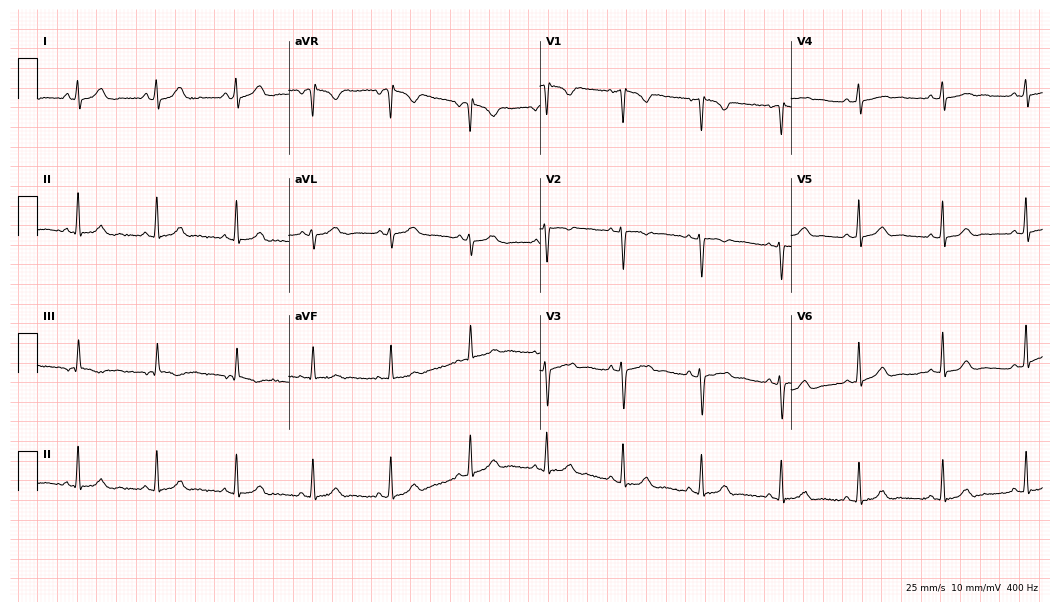
12-lead ECG from a female, 29 years old. Labelled as a normal ECG.